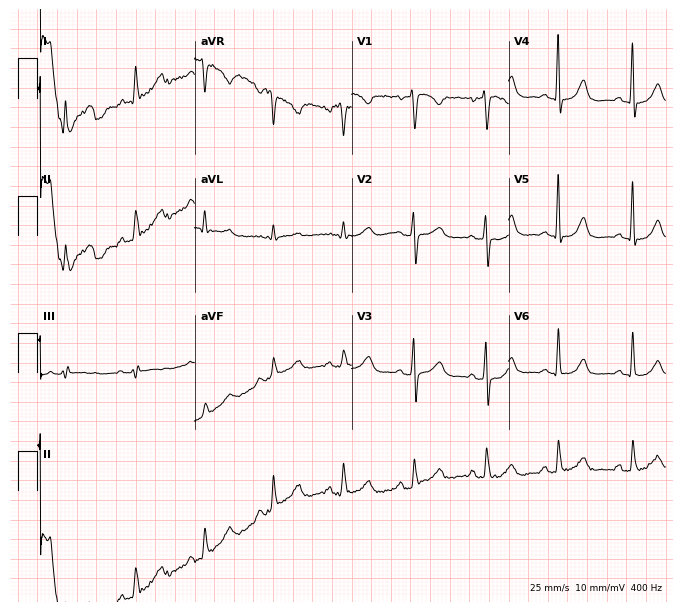
12-lead ECG (6.4-second recording at 400 Hz) from a 40-year-old female patient. Labelled as a normal ECG.